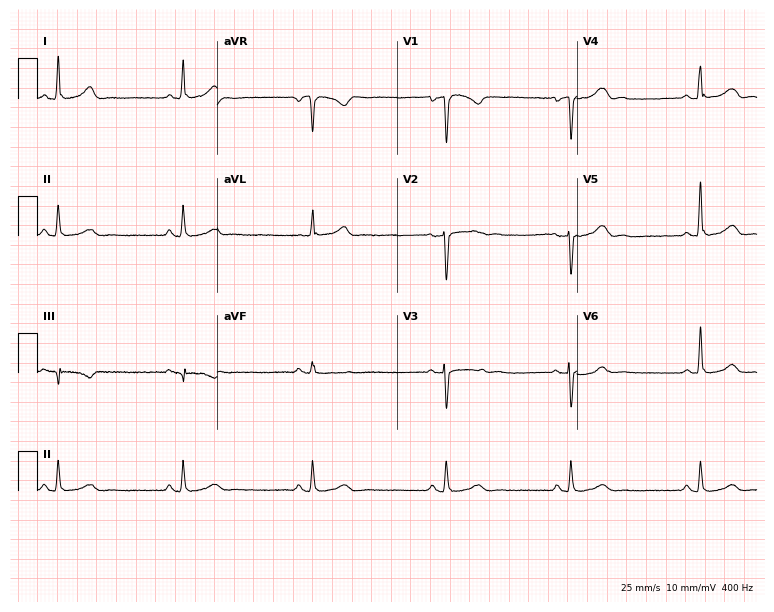
Resting 12-lead electrocardiogram. Patient: a female, 40 years old. The tracing shows sinus bradycardia (a sinus rate of 50 beats per minute or less).